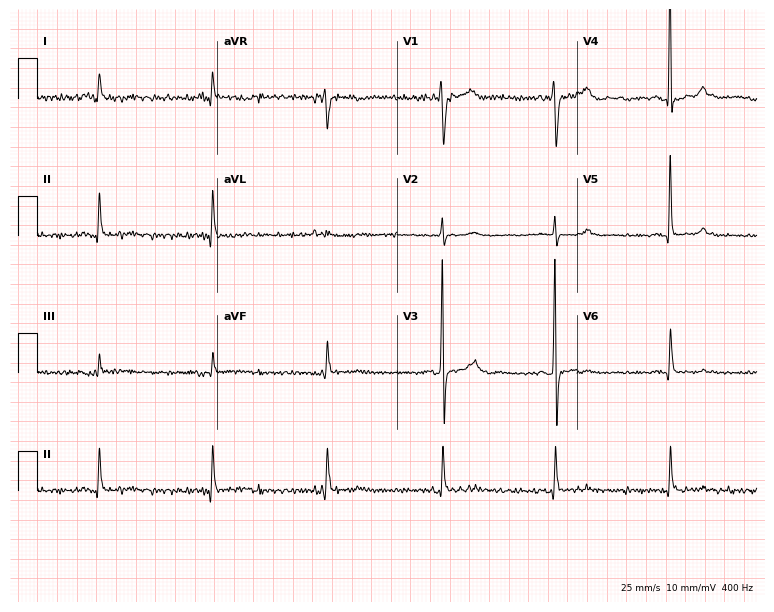
ECG (7.3-second recording at 400 Hz) — an 83-year-old male. Screened for six findings — first-degree AV block, right bundle branch block, left bundle branch block, sinus bradycardia, atrial fibrillation, sinus tachycardia — none is recorded.